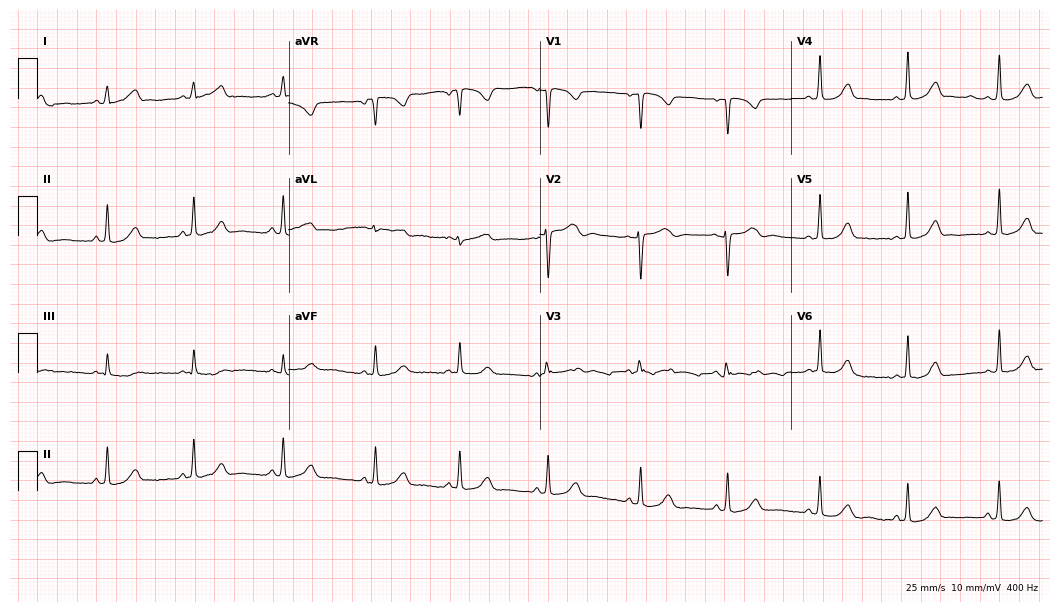
12-lead ECG from a female patient, 20 years old. Recorded interpretation: within normal limits.